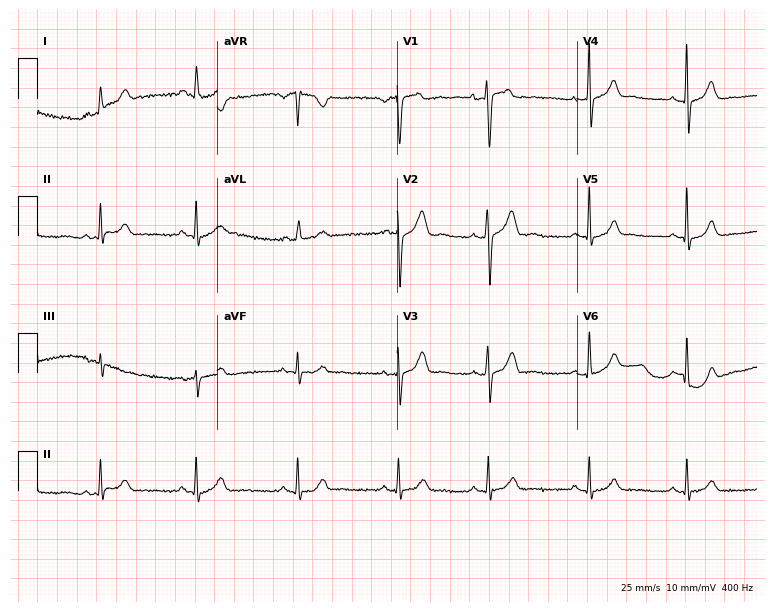
Standard 12-lead ECG recorded from a 28-year-old female patient (7.3-second recording at 400 Hz). None of these six findings is recorded: first-degree AV block, right bundle branch block, left bundle branch block, sinus bradycardia, atrial fibrillation, sinus tachycardia. Other findings, if any, are not listed.